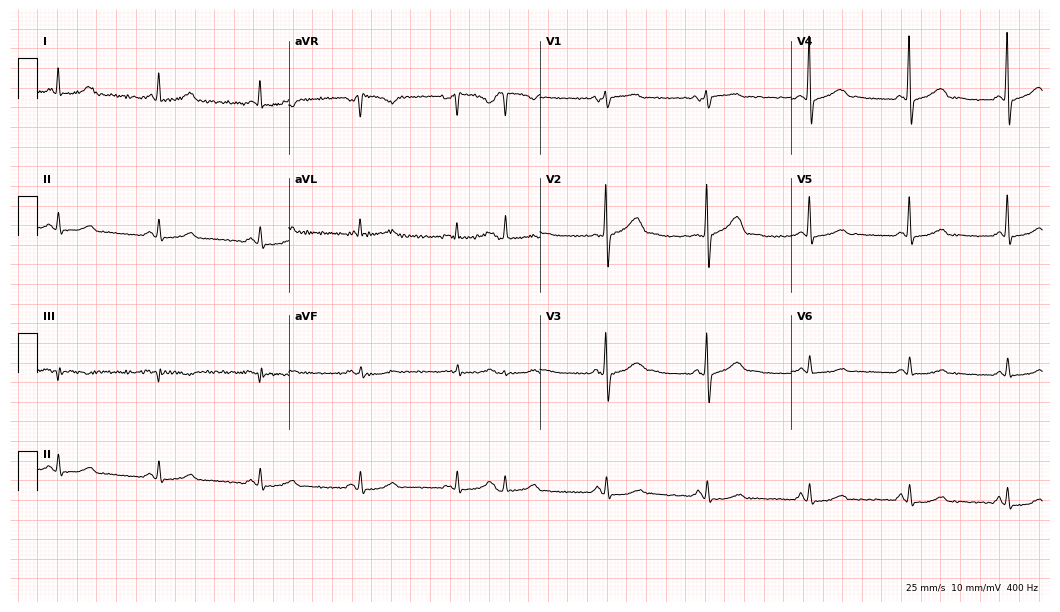
12-lead ECG from a 64-year-old female. Recorded interpretation: within normal limits.